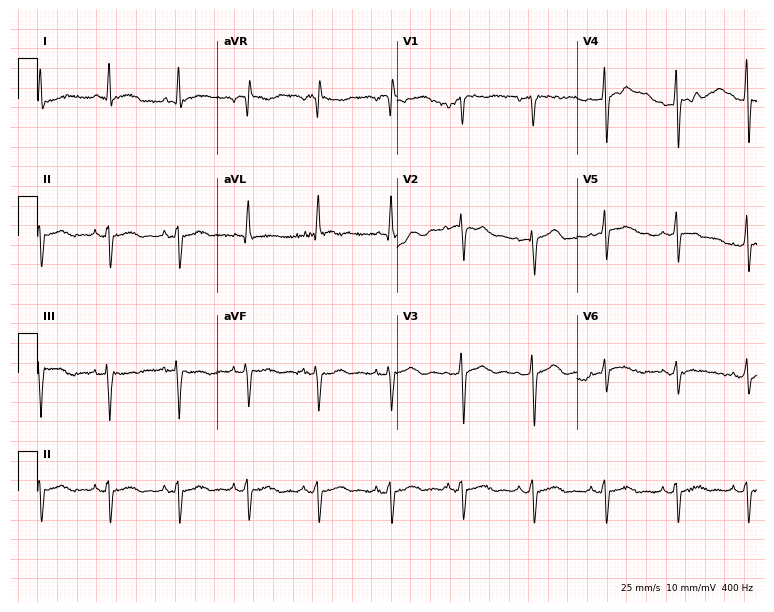
12-lead ECG from a male, 53 years old (7.3-second recording at 400 Hz). No first-degree AV block, right bundle branch block (RBBB), left bundle branch block (LBBB), sinus bradycardia, atrial fibrillation (AF) or sinus tachycardia recorded for this tracing. Only these six findings were labelled.